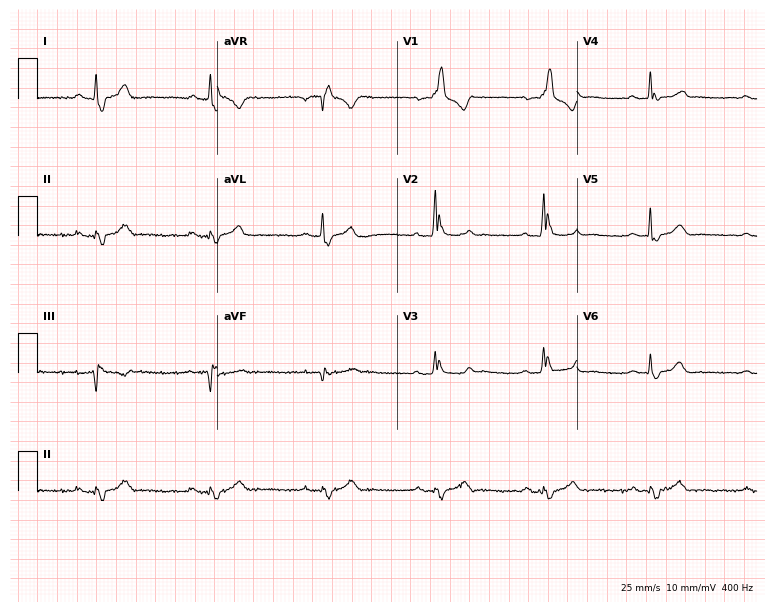
ECG — an 82-year-old male patient. Findings include right bundle branch block (RBBB).